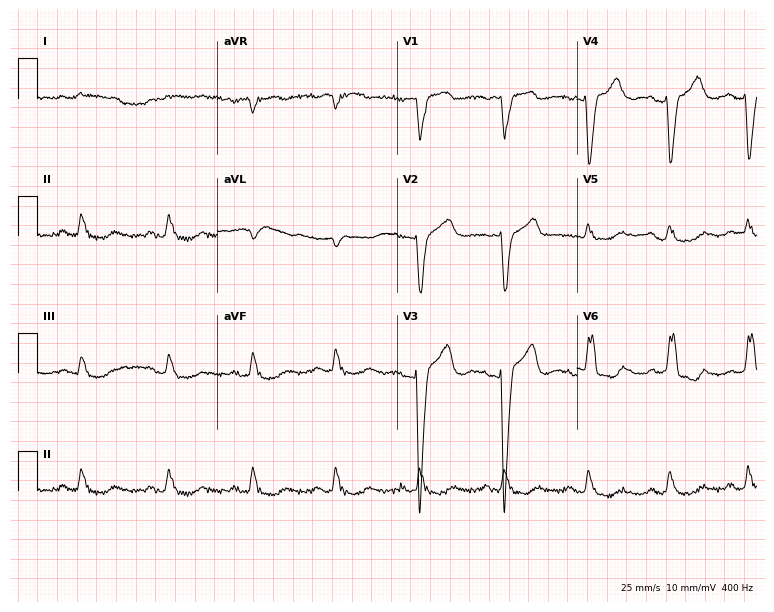
Resting 12-lead electrocardiogram. Patient: a woman, 54 years old. The tracing shows left bundle branch block.